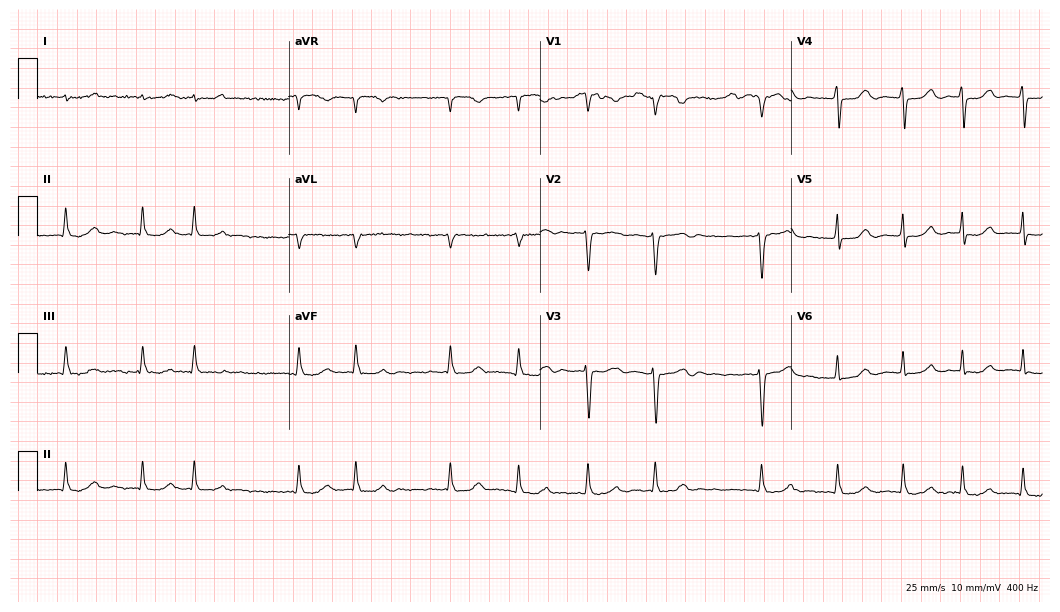
12-lead ECG from a female, 83 years old. Findings include atrial fibrillation.